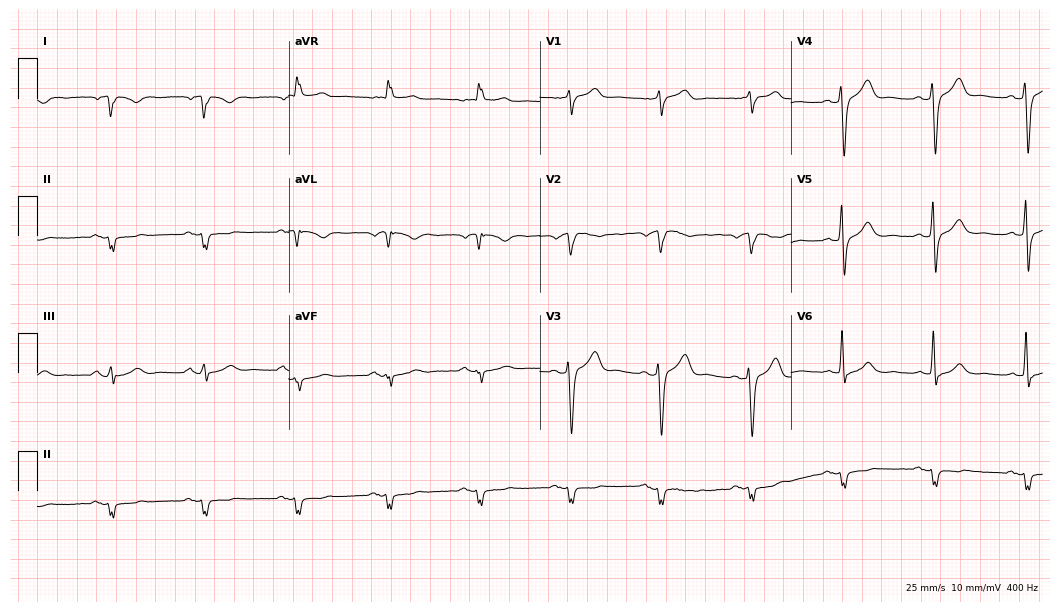
12-lead ECG from a male patient, 78 years old (10.2-second recording at 400 Hz). No first-degree AV block, right bundle branch block, left bundle branch block, sinus bradycardia, atrial fibrillation or sinus tachycardia recorded for this tracing.